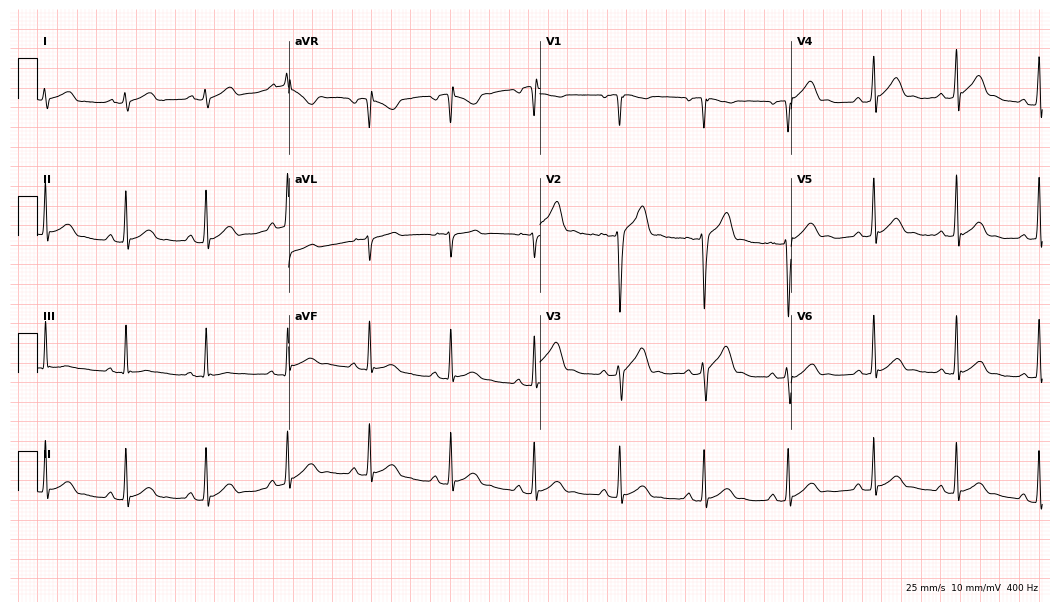
12-lead ECG (10.2-second recording at 400 Hz) from a man, 35 years old. Labelled as a normal ECG.